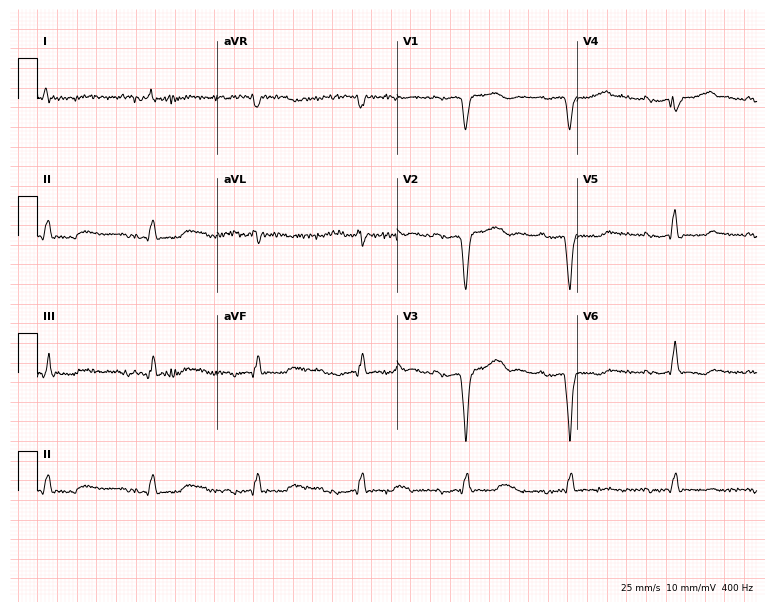
Resting 12-lead electrocardiogram. Patient: a male, 70 years old. None of these six findings is recorded: first-degree AV block, right bundle branch block, left bundle branch block, sinus bradycardia, atrial fibrillation, sinus tachycardia.